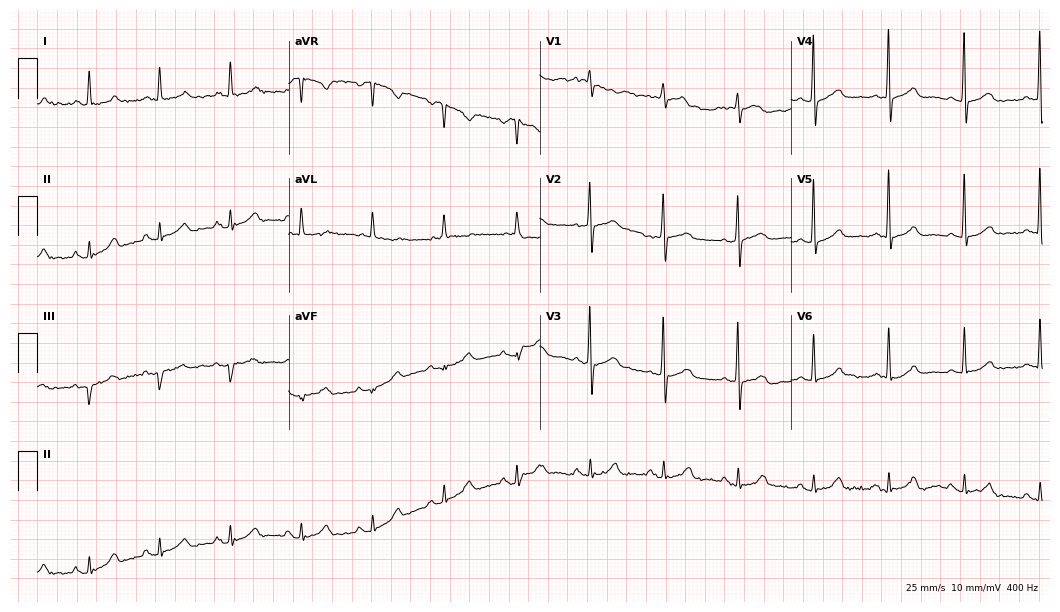
12-lead ECG (10.2-second recording at 400 Hz) from a female, 81 years old. Labelled as a normal ECG.